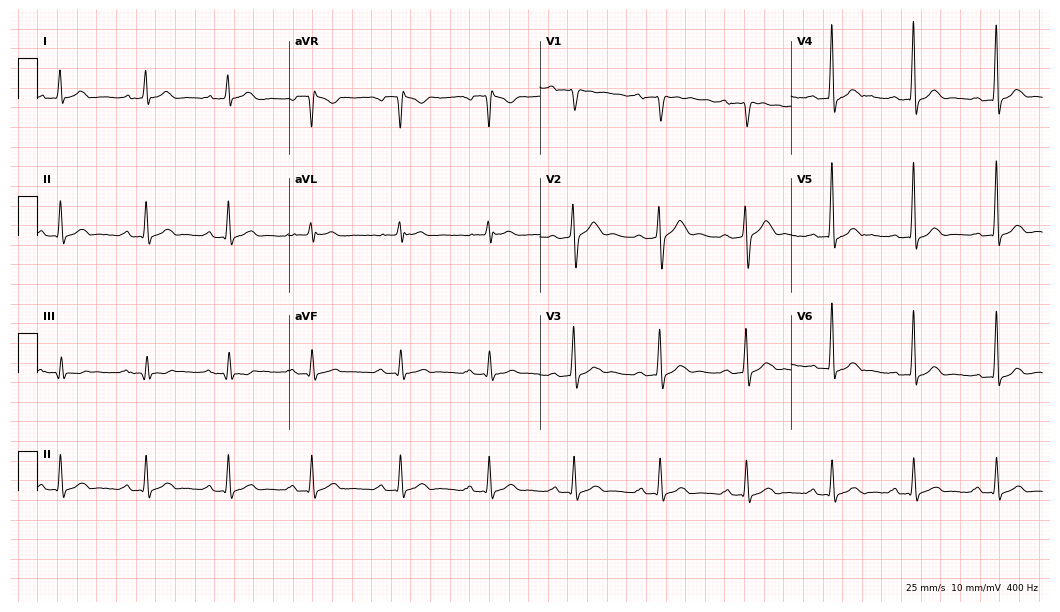
12-lead ECG (10.2-second recording at 400 Hz) from a 40-year-old man. Findings include first-degree AV block.